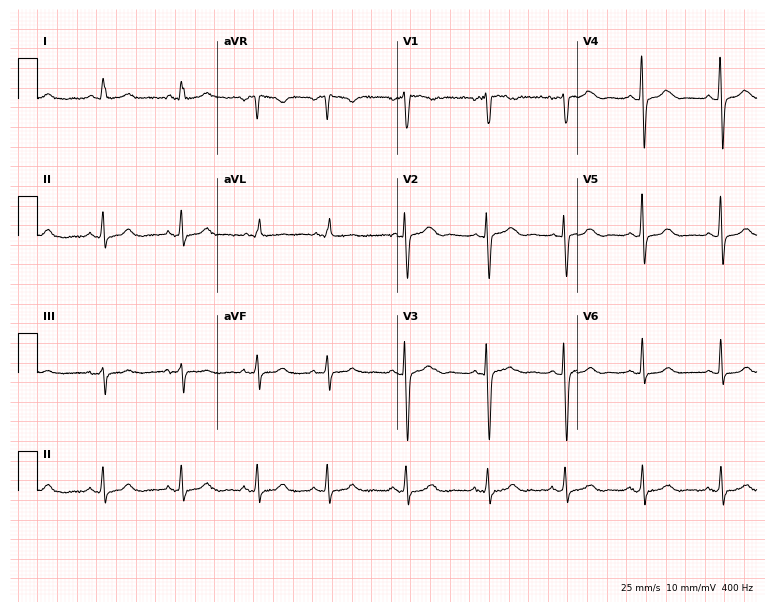
12-lead ECG (7.3-second recording at 400 Hz) from a 31-year-old female. Labelled as a normal ECG.